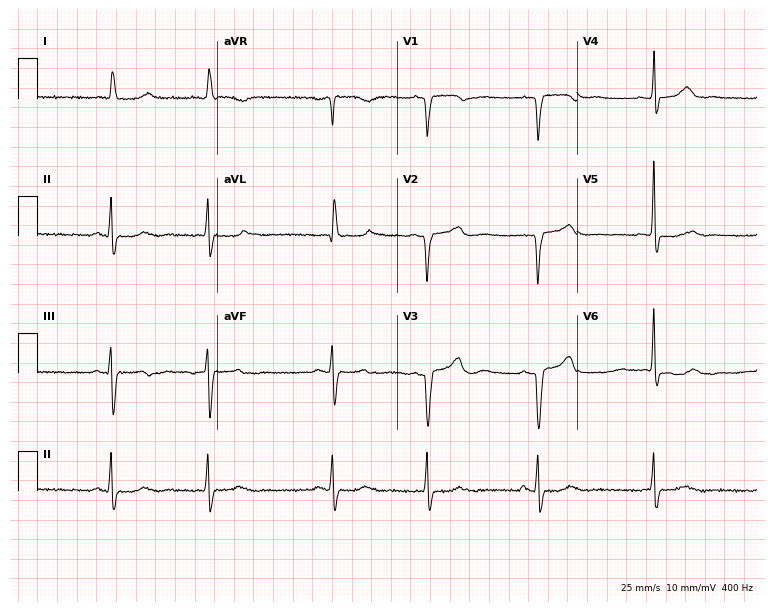
12-lead ECG from an 81-year-old woman. Screened for six findings — first-degree AV block, right bundle branch block, left bundle branch block, sinus bradycardia, atrial fibrillation, sinus tachycardia — none is recorded.